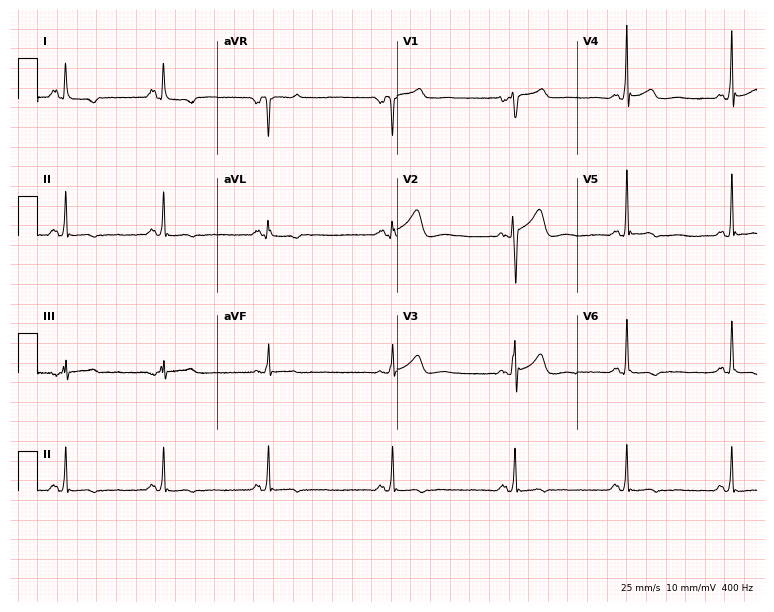
Electrocardiogram, a 37-year-old male. Of the six screened findings (first-degree AV block, right bundle branch block, left bundle branch block, sinus bradycardia, atrial fibrillation, sinus tachycardia), none is recorded. Other findings, if any, are not listed.